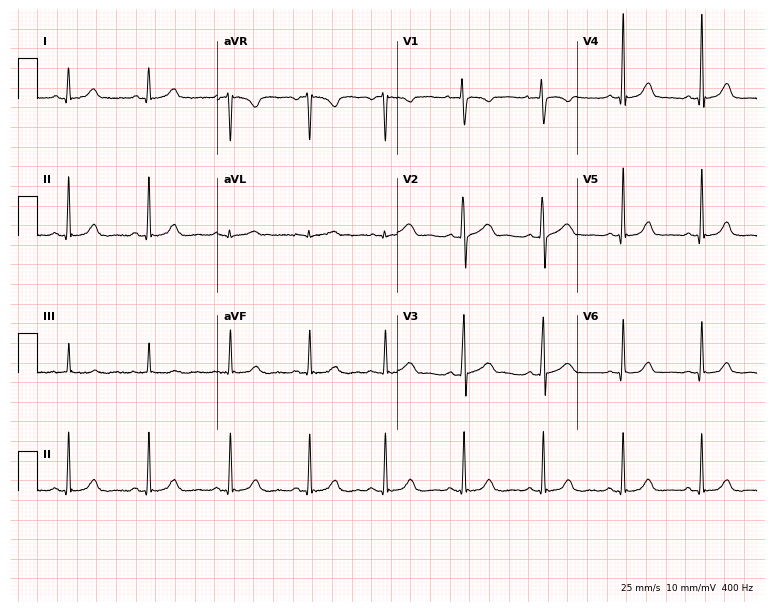
Standard 12-lead ECG recorded from a female, 24 years old (7.3-second recording at 400 Hz). Read as a normal ECG.